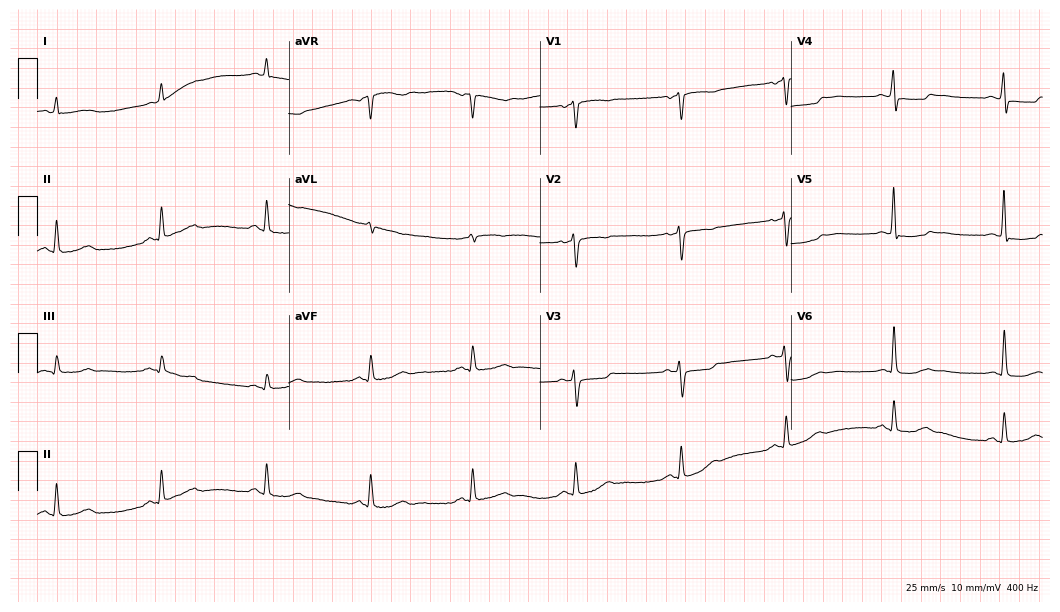
ECG — a woman, 67 years old. Screened for six findings — first-degree AV block, right bundle branch block (RBBB), left bundle branch block (LBBB), sinus bradycardia, atrial fibrillation (AF), sinus tachycardia — none is recorded.